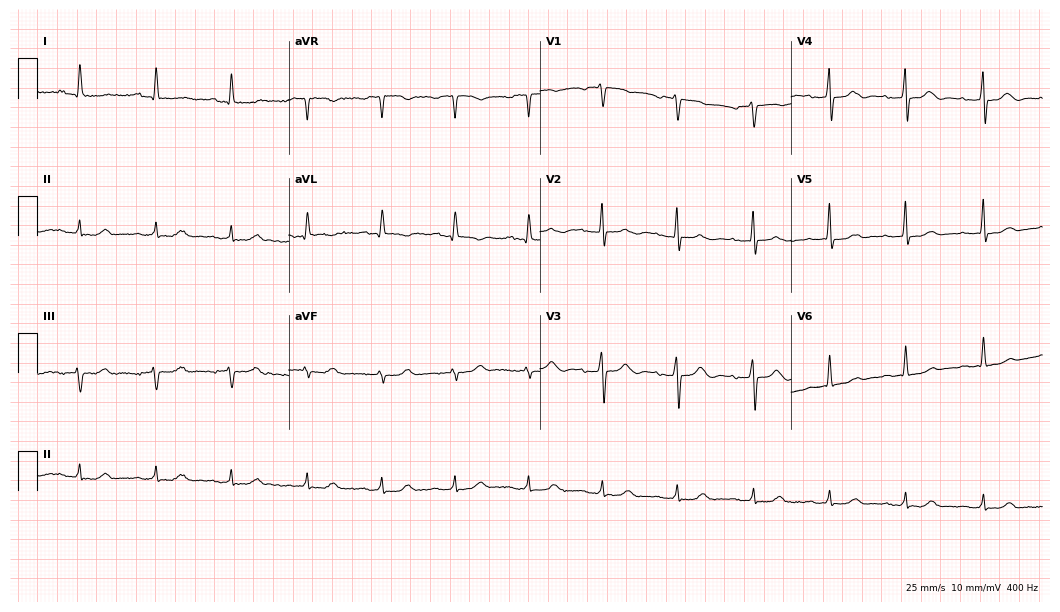
12-lead ECG from an 82-year-old woman. Labelled as a normal ECG.